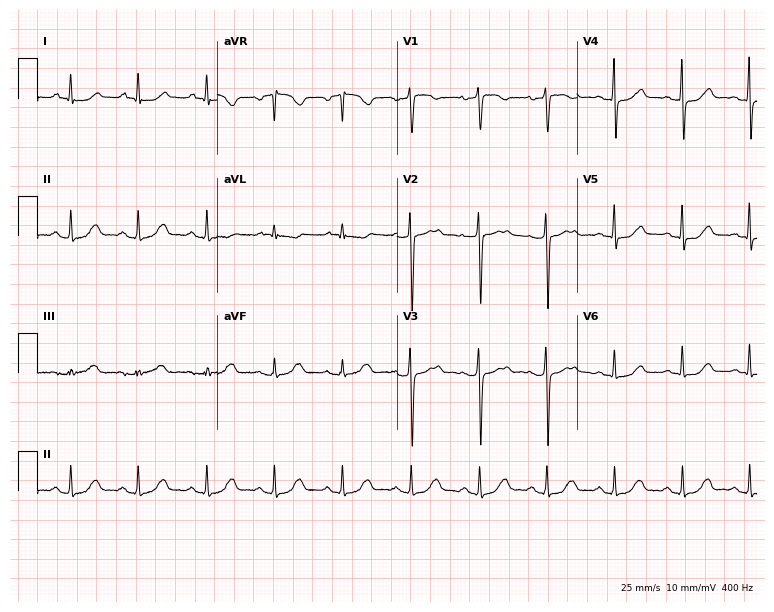
Electrocardiogram (7.3-second recording at 400 Hz), a female patient, 56 years old. Overall reading on record: normal ECG.